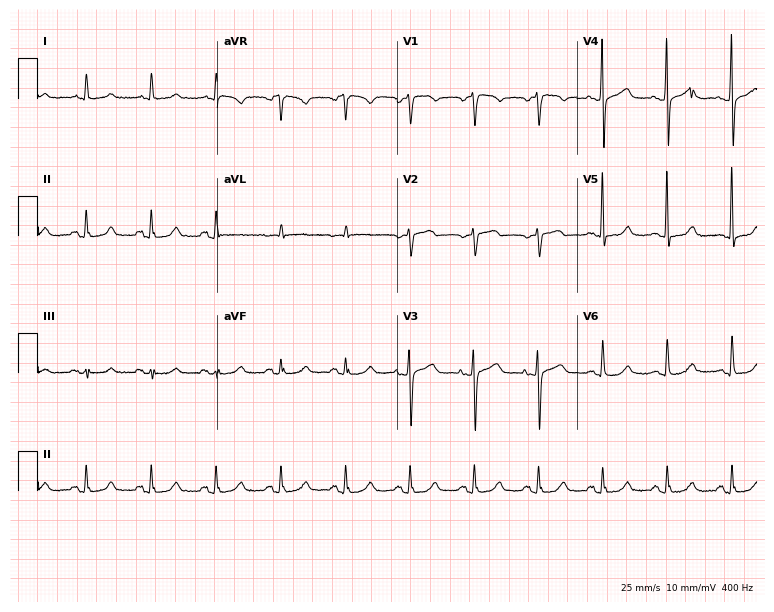
ECG (7.3-second recording at 400 Hz) — a female patient, 74 years old. Labelled as a normal ECG.